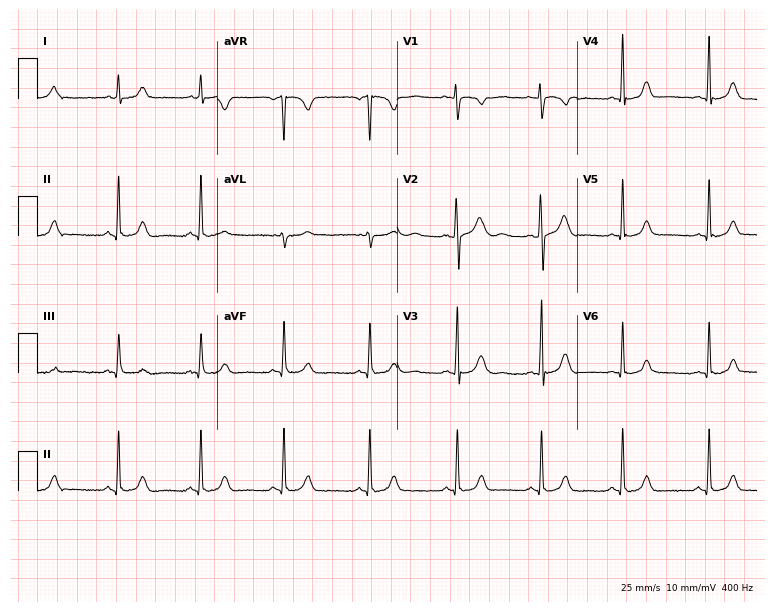
12-lead ECG (7.3-second recording at 400 Hz) from a 22-year-old woman. Screened for six findings — first-degree AV block, right bundle branch block, left bundle branch block, sinus bradycardia, atrial fibrillation, sinus tachycardia — none is recorded.